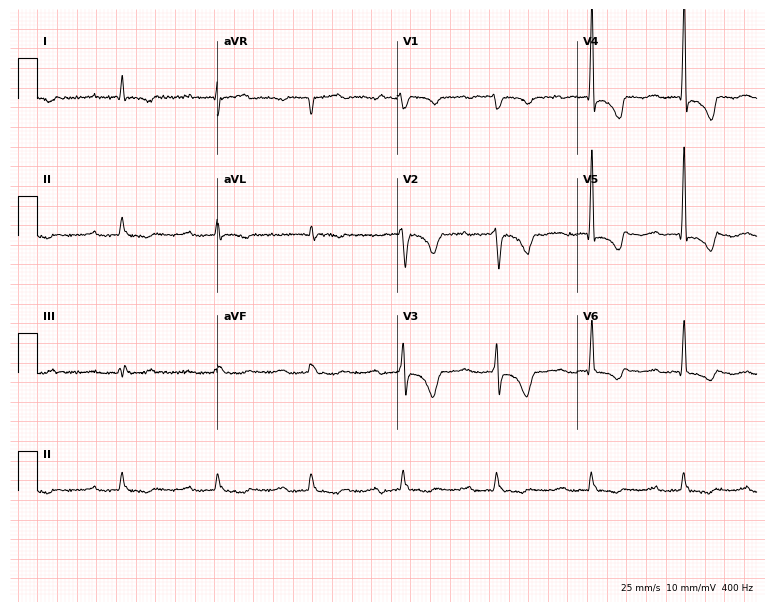
Electrocardiogram, a 77-year-old male patient. Interpretation includes first-degree AV block.